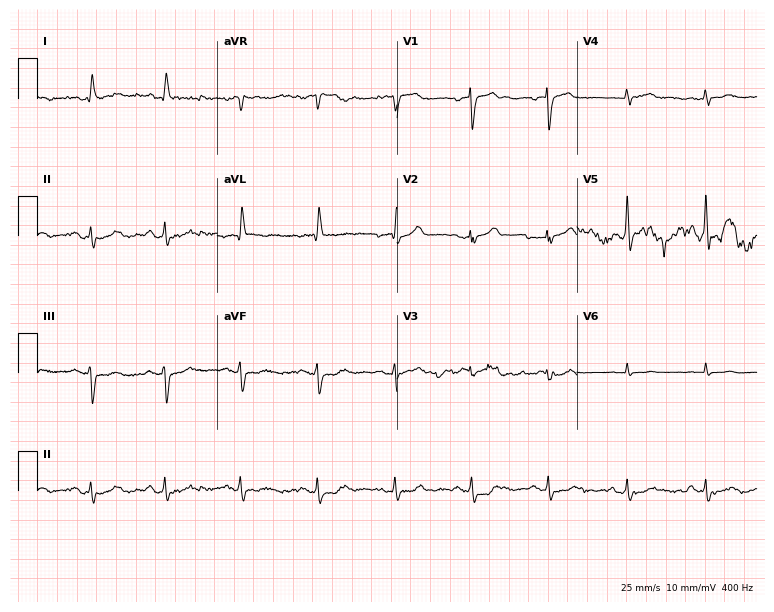
12-lead ECG (7.3-second recording at 400 Hz) from an 82-year-old female. Screened for six findings — first-degree AV block, right bundle branch block, left bundle branch block, sinus bradycardia, atrial fibrillation, sinus tachycardia — none is recorded. Findings outside these six are not listed.